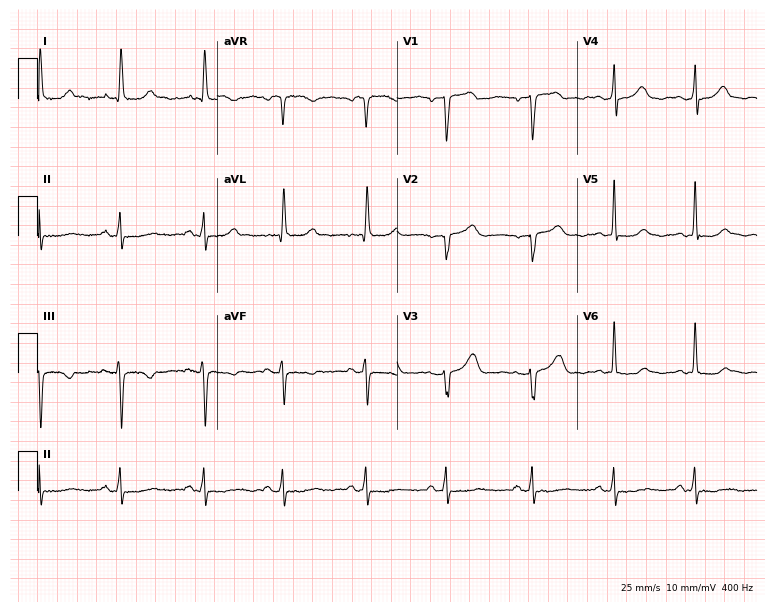
ECG (7.3-second recording at 400 Hz) — a 55-year-old woman. Screened for six findings — first-degree AV block, right bundle branch block, left bundle branch block, sinus bradycardia, atrial fibrillation, sinus tachycardia — none is recorded.